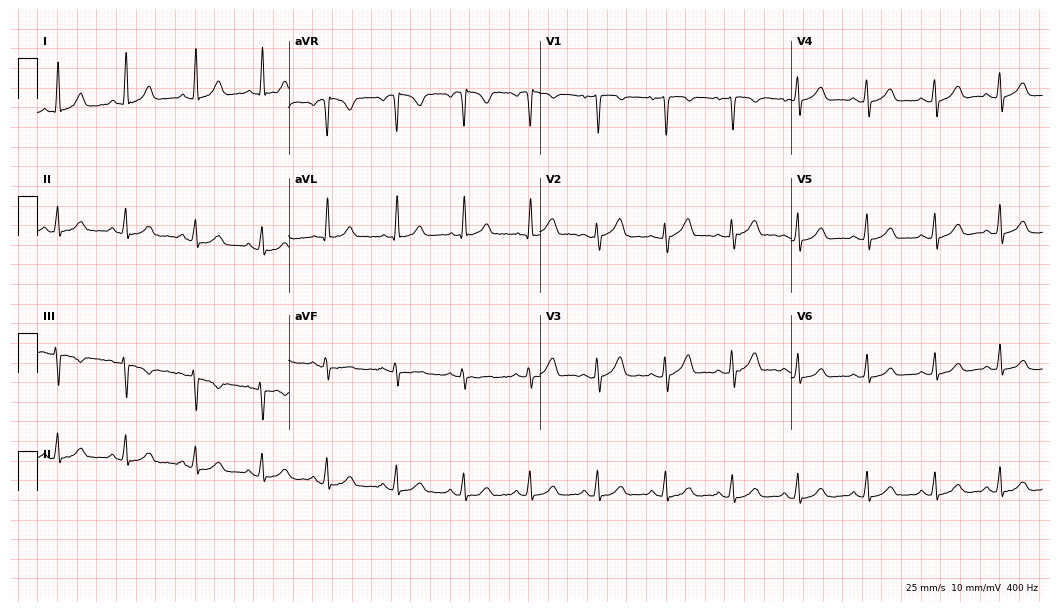
12-lead ECG from a male patient, 39 years old (10.2-second recording at 400 Hz). Recorded interpretation: within normal limits.